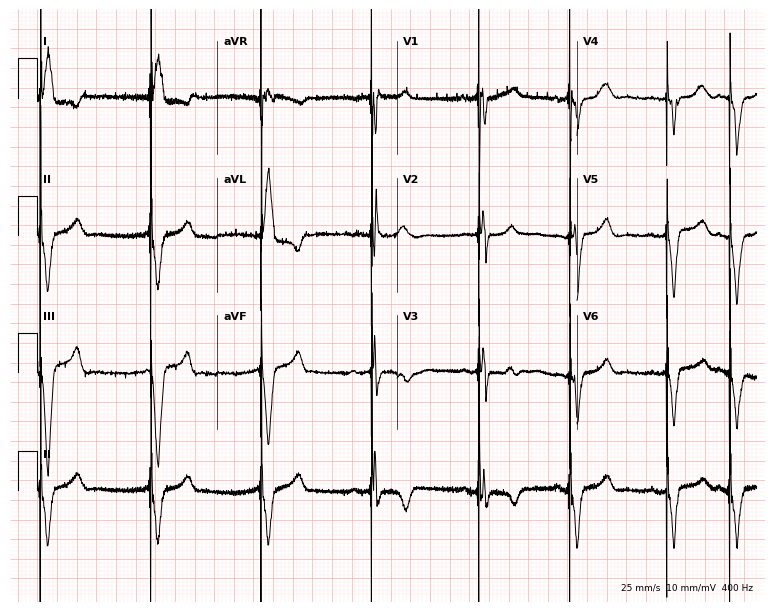
12-lead ECG from a 77-year-old female. Screened for six findings — first-degree AV block, right bundle branch block, left bundle branch block, sinus bradycardia, atrial fibrillation, sinus tachycardia — none is recorded.